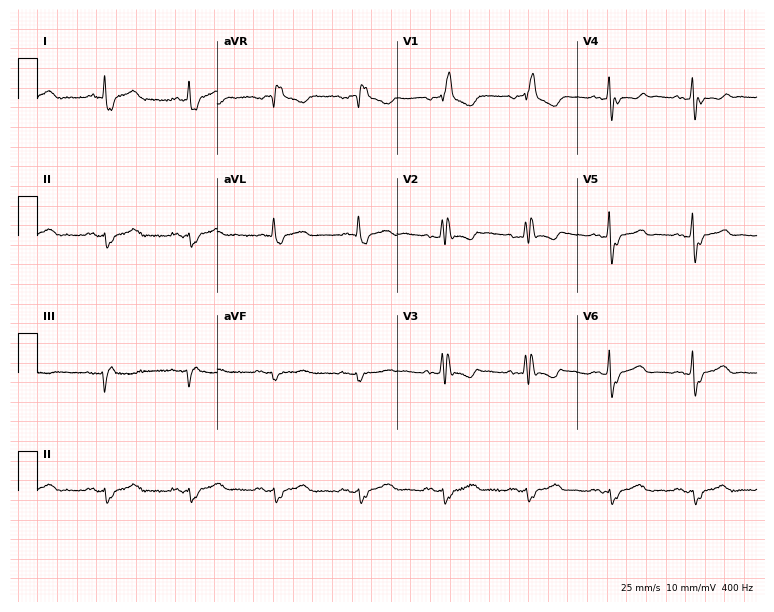
12-lead ECG from a 76-year-old female patient (7.3-second recording at 400 Hz). Shows right bundle branch block.